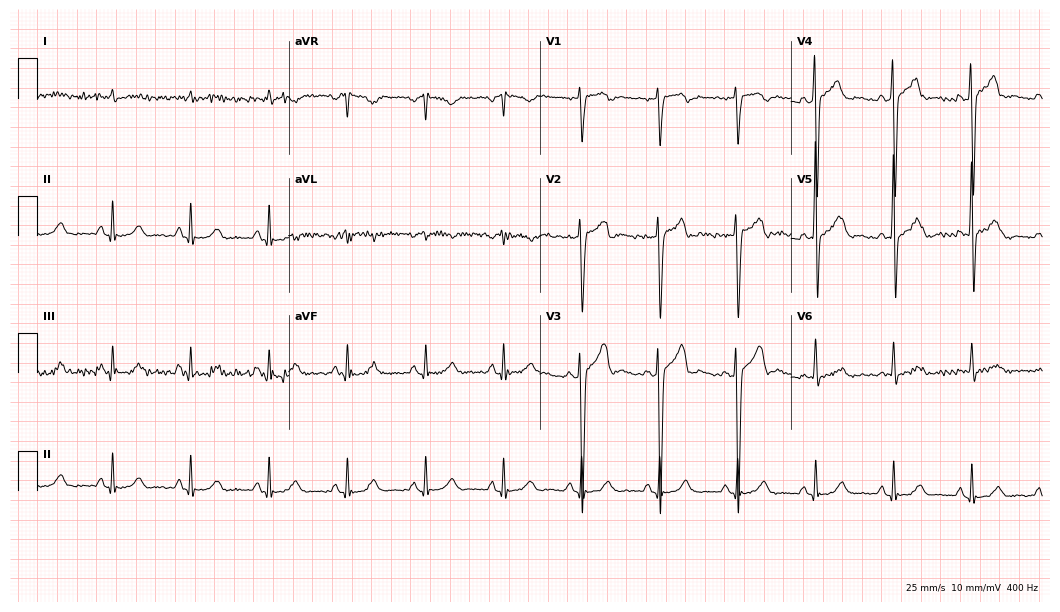
ECG (10.2-second recording at 400 Hz) — a 57-year-old man. Labelled as a normal ECG.